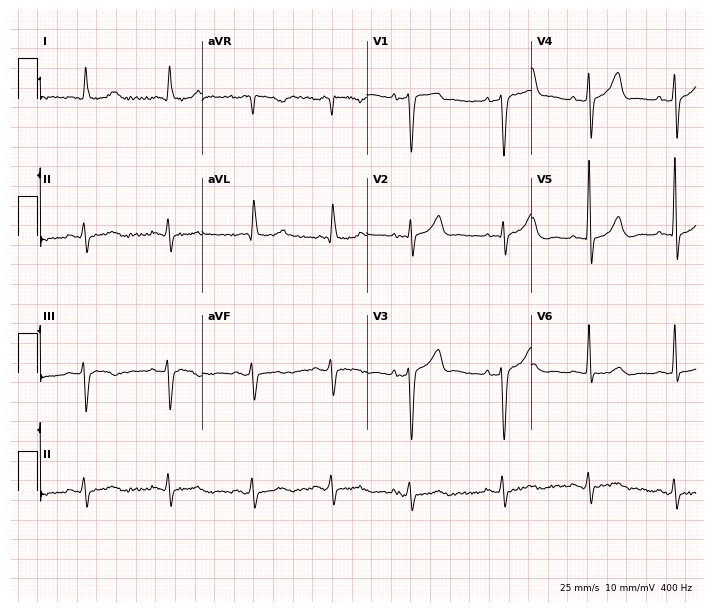
Standard 12-lead ECG recorded from a male, 83 years old. None of these six findings is recorded: first-degree AV block, right bundle branch block, left bundle branch block, sinus bradycardia, atrial fibrillation, sinus tachycardia.